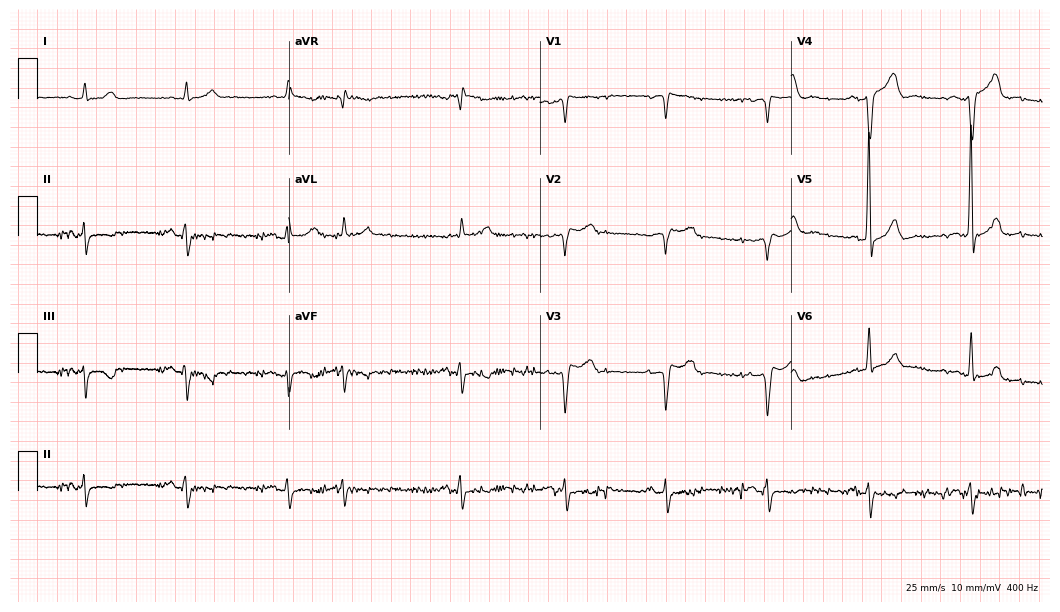
Resting 12-lead electrocardiogram (10.2-second recording at 400 Hz). Patient: a man, 74 years old. Read as a normal ECG.